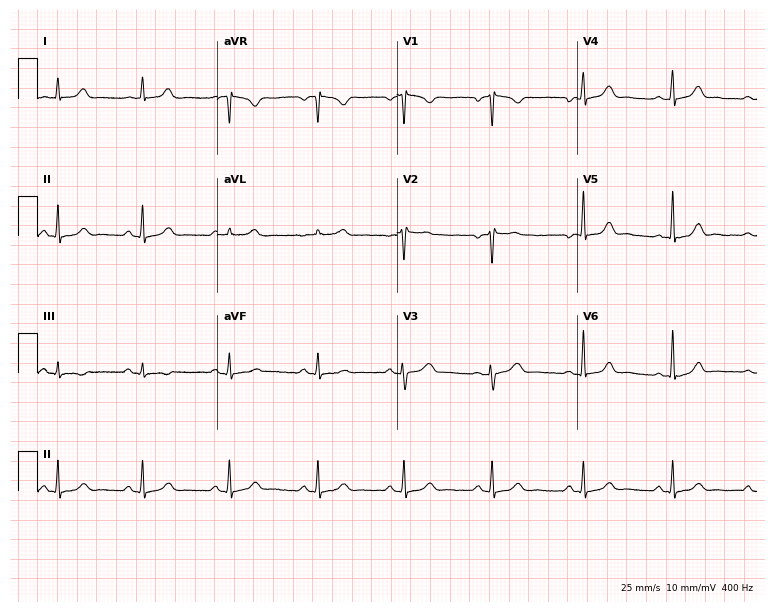
Standard 12-lead ECG recorded from a woman, 46 years old. None of these six findings is recorded: first-degree AV block, right bundle branch block (RBBB), left bundle branch block (LBBB), sinus bradycardia, atrial fibrillation (AF), sinus tachycardia.